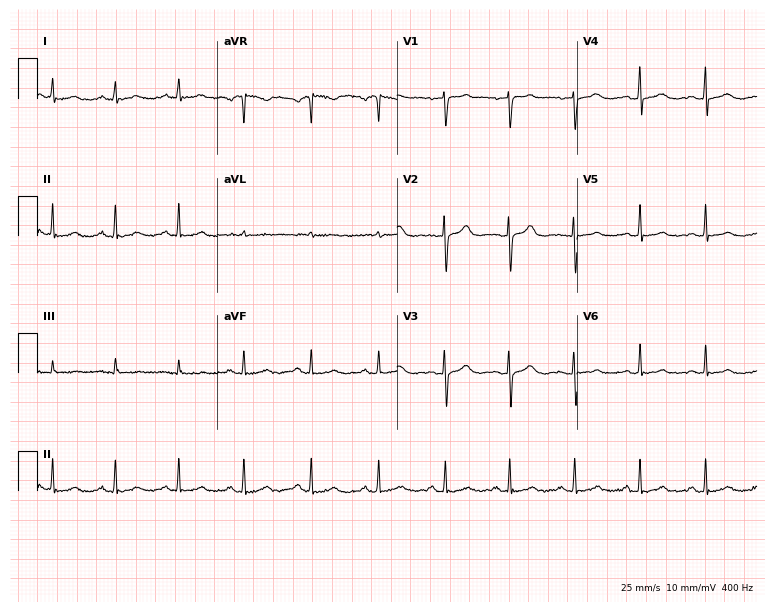
12-lead ECG (7.3-second recording at 400 Hz) from a 48-year-old female patient. Screened for six findings — first-degree AV block, right bundle branch block, left bundle branch block, sinus bradycardia, atrial fibrillation, sinus tachycardia — none is recorded. Findings outside these six are not listed.